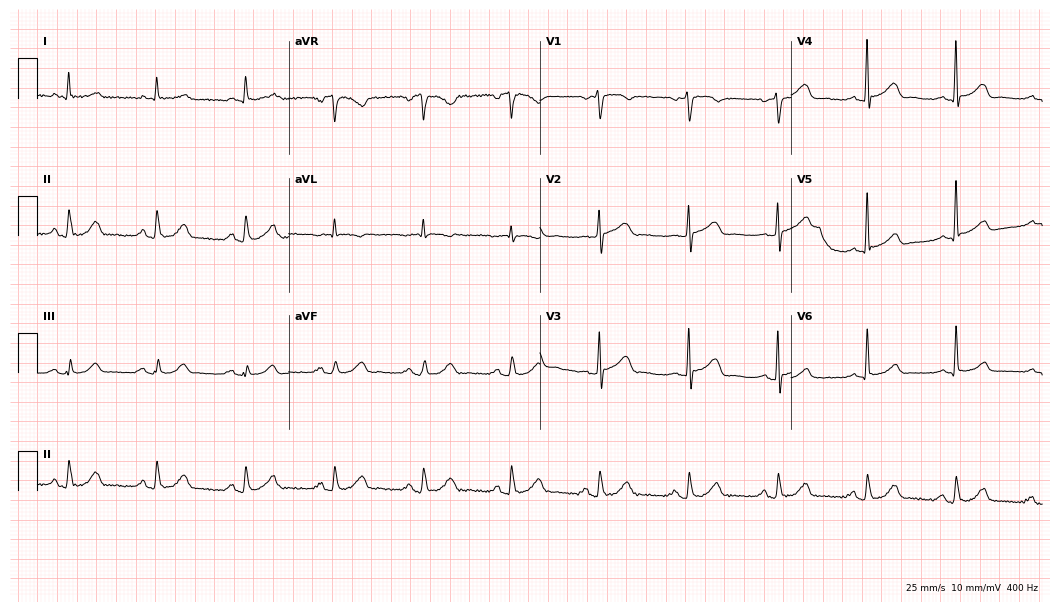
Resting 12-lead electrocardiogram (10.2-second recording at 400 Hz). Patient: a 67-year-old male. Read as a normal ECG.